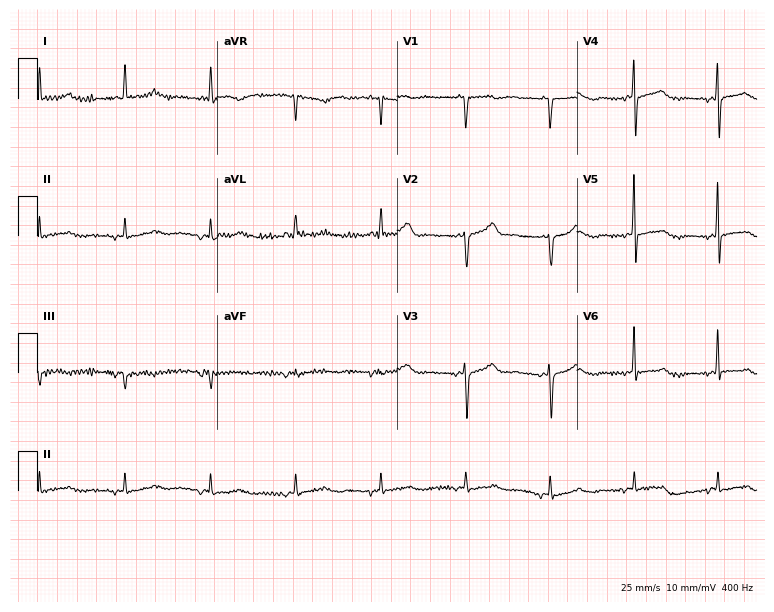
Resting 12-lead electrocardiogram (7.3-second recording at 400 Hz). Patient: a female, 61 years old. None of these six findings is recorded: first-degree AV block, right bundle branch block, left bundle branch block, sinus bradycardia, atrial fibrillation, sinus tachycardia. Only these six findings were labelled.